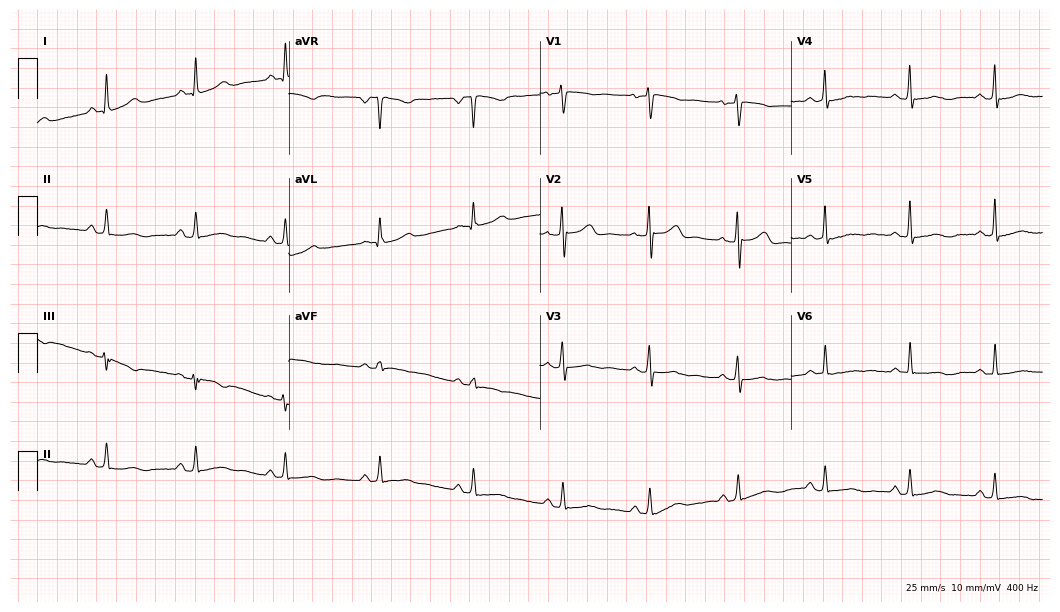
Standard 12-lead ECG recorded from a woman, 37 years old. Read as a normal ECG.